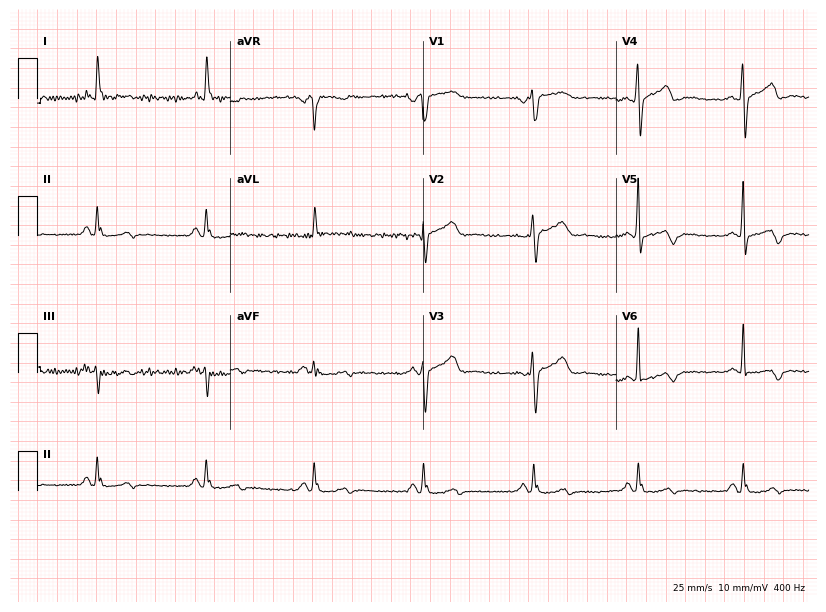
12-lead ECG from a woman, 63 years old. No first-degree AV block, right bundle branch block (RBBB), left bundle branch block (LBBB), sinus bradycardia, atrial fibrillation (AF) or sinus tachycardia recorded for this tracing.